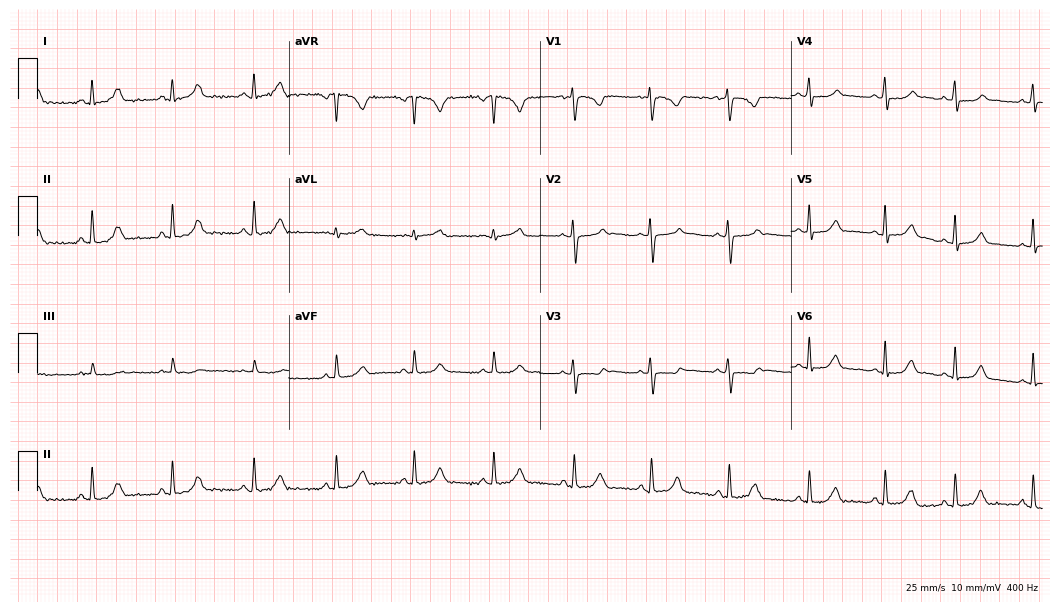
Resting 12-lead electrocardiogram (10.2-second recording at 400 Hz). Patient: a woman, 22 years old. Read as a normal ECG.